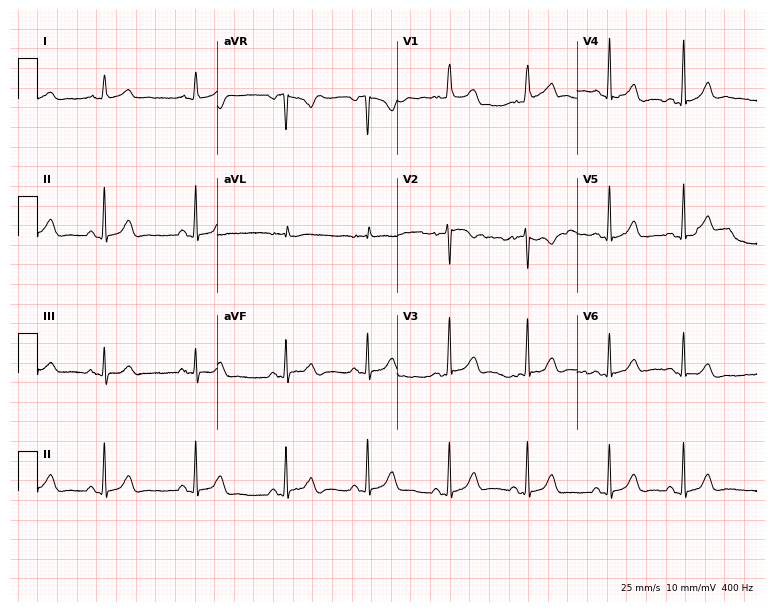
Resting 12-lead electrocardiogram (7.3-second recording at 400 Hz). Patient: a 26-year-old female. None of these six findings is recorded: first-degree AV block, right bundle branch block, left bundle branch block, sinus bradycardia, atrial fibrillation, sinus tachycardia.